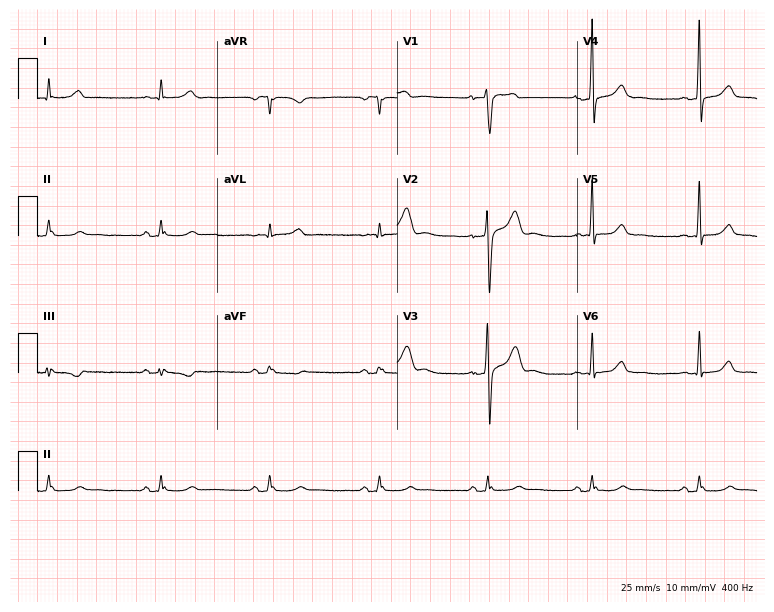
12-lead ECG from a 37-year-old man (7.3-second recording at 400 Hz). No first-degree AV block, right bundle branch block, left bundle branch block, sinus bradycardia, atrial fibrillation or sinus tachycardia recorded for this tracing. Only these six findings were labelled.